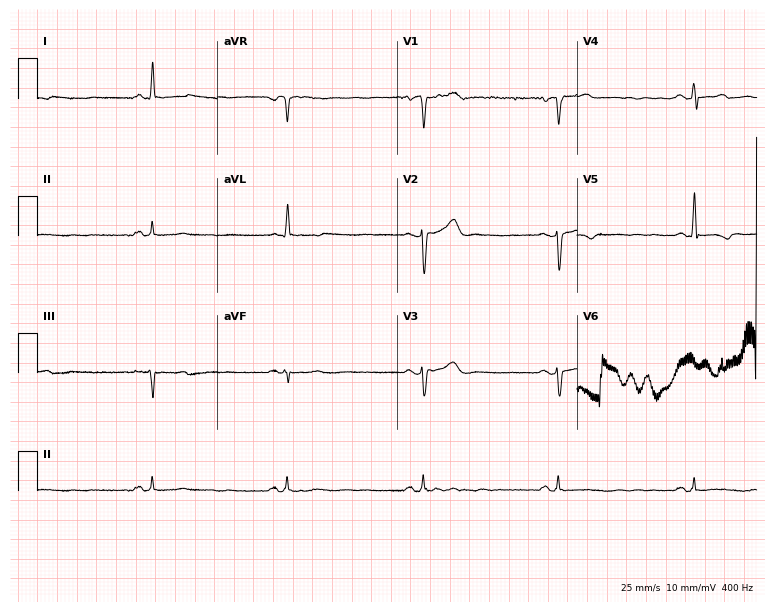
12-lead ECG from a man, 45 years old. Shows sinus bradycardia (a sinus rate of 50 beats per minute or less).